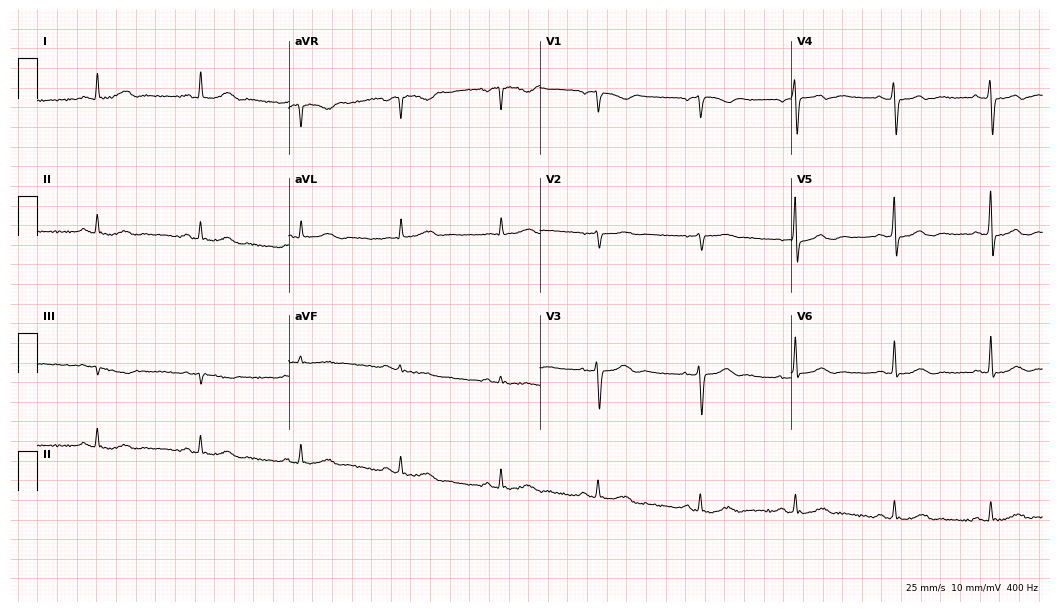
12-lead ECG from a 75-year-old male patient. Labelled as a normal ECG.